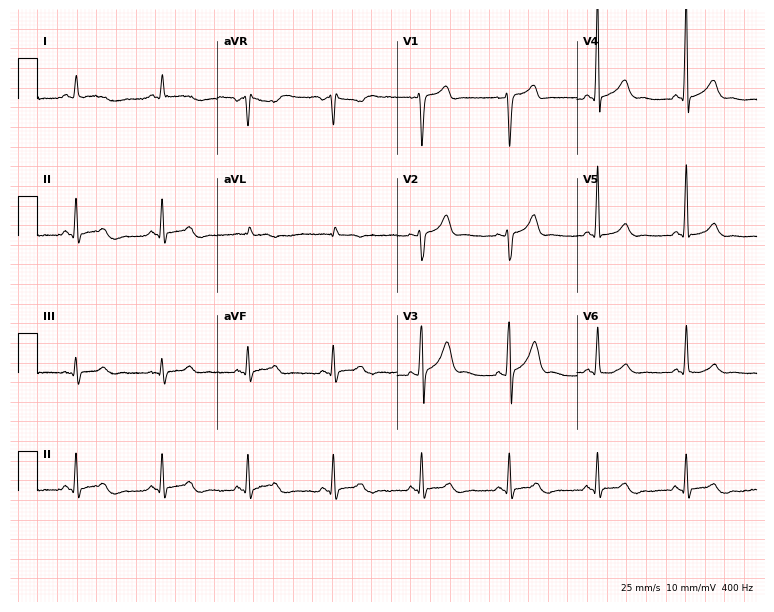
Resting 12-lead electrocardiogram. Patient: a 68-year-old male. None of these six findings is recorded: first-degree AV block, right bundle branch block, left bundle branch block, sinus bradycardia, atrial fibrillation, sinus tachycardia. Findings outside these six are not listed.